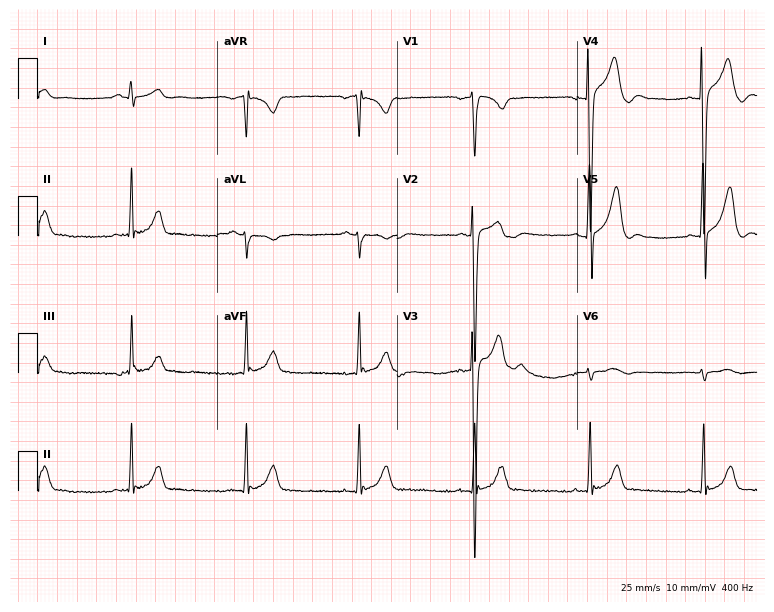
12-lead ECG (7.3-second recording at 400 Hz) from a 19-year-old male patient. Screened for six findings — first-degree AV block, right bundle branch block, left bundle branch block, sinus bradycardia, atrial fibrillation, sinus tachycardia — none is recorded.